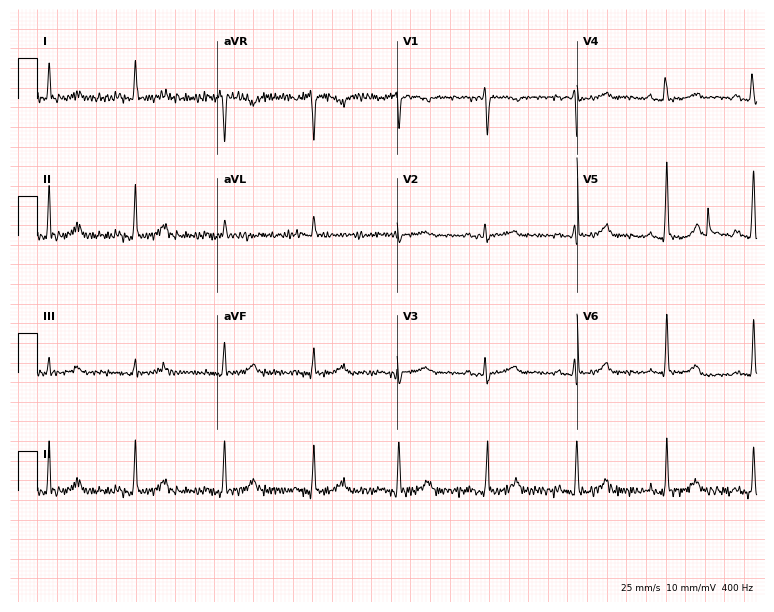
Standard 12-lead ECG recorded from a 57-year-old woman. None of these six findings is recorded: first-degree AV block, right bundle branch block (RBBB), left bundle branch block (LBBB), sinus bradycardia, atrial fibrillation (AF), sinus tachycardia. Findings outside these six are not listed.